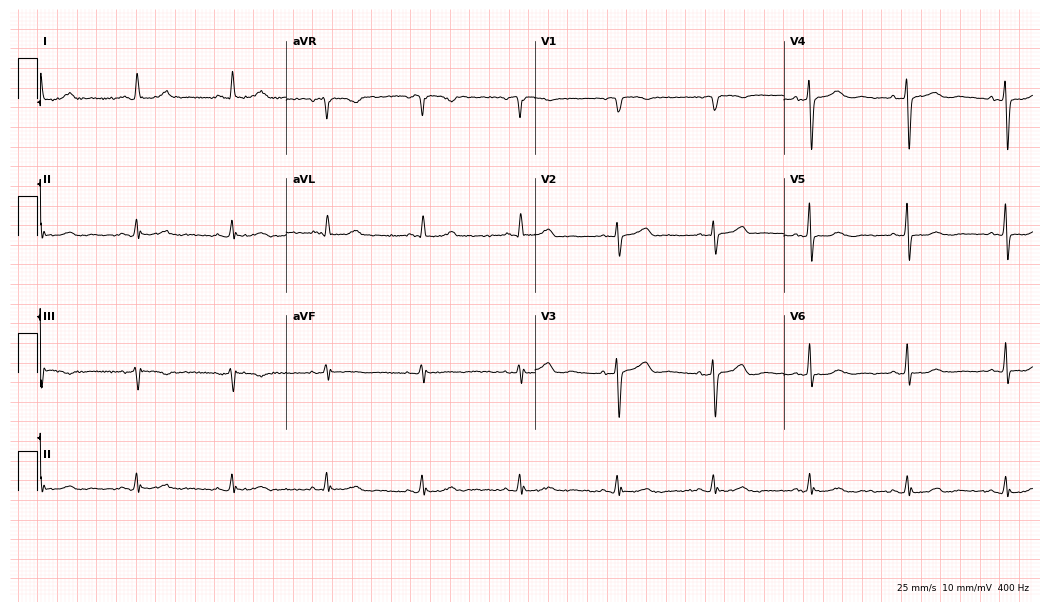
Resting 12-lead electrocardiogram (10.1-second recording at 400 Hz). Patient: a 64-year-old female. Read as a normal ECG.